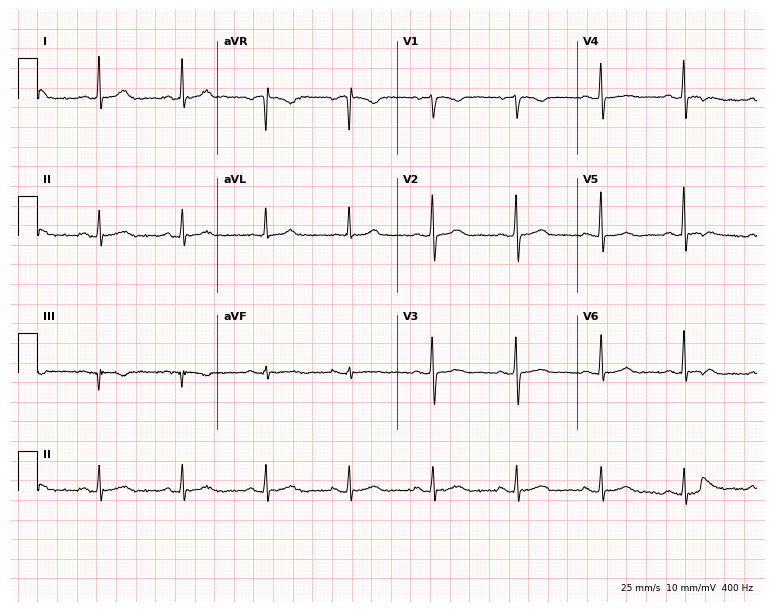
12-lead ECG from a female, 71 years old. Labelled as a normal ECG.